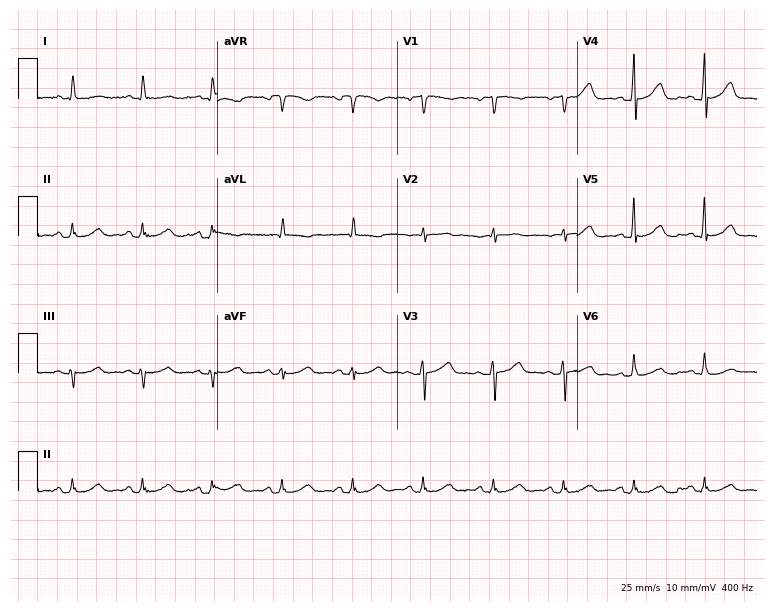
Electrocardiogram, a 73-year-old female. Overall reading on record: normal ECG.